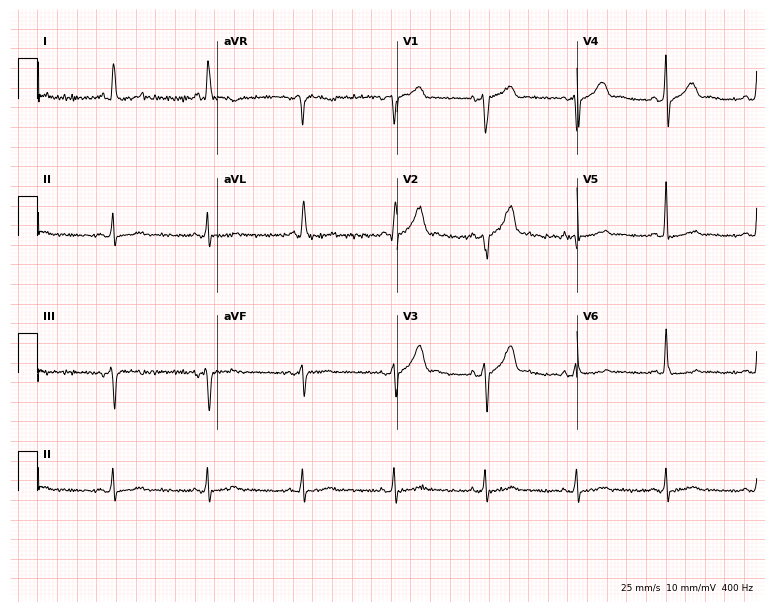
ECG — a male patient, 68 years old. Screened for six findings — first-degree AV block, right bundle branch block (RBBB), left bundle branch block (LBBB), sinus bradycardia, atrial fibrillation (AF), sinus tachycardia — none is recorded. Findings outside these six are not listed.